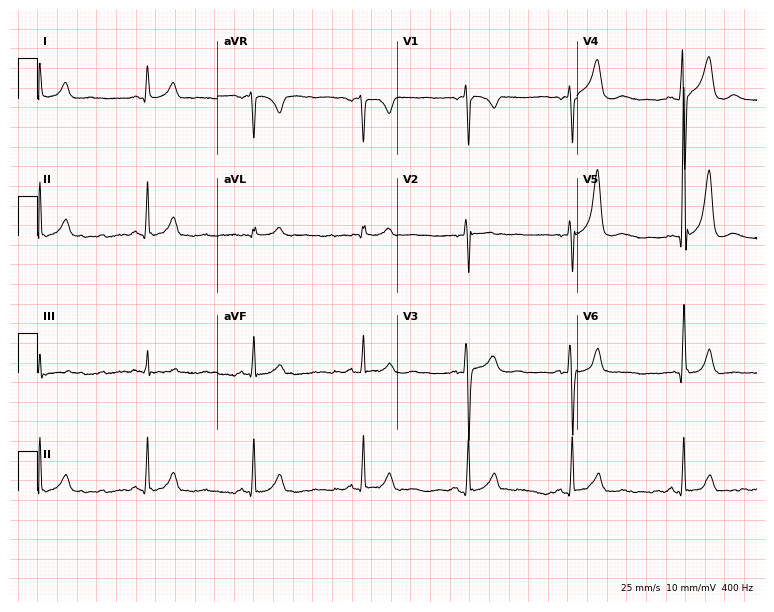
ECG — a male patient, 50 years old. Labelled as a normal ECG.